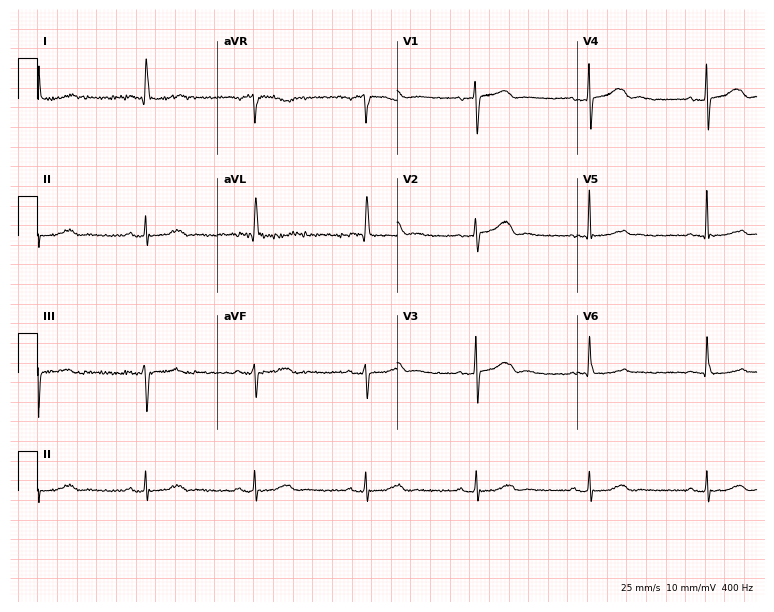
12-lead ECG (7.3-second recording at 400 Hz) from an 83-year-old female patient. Labelled as a normal ECG.